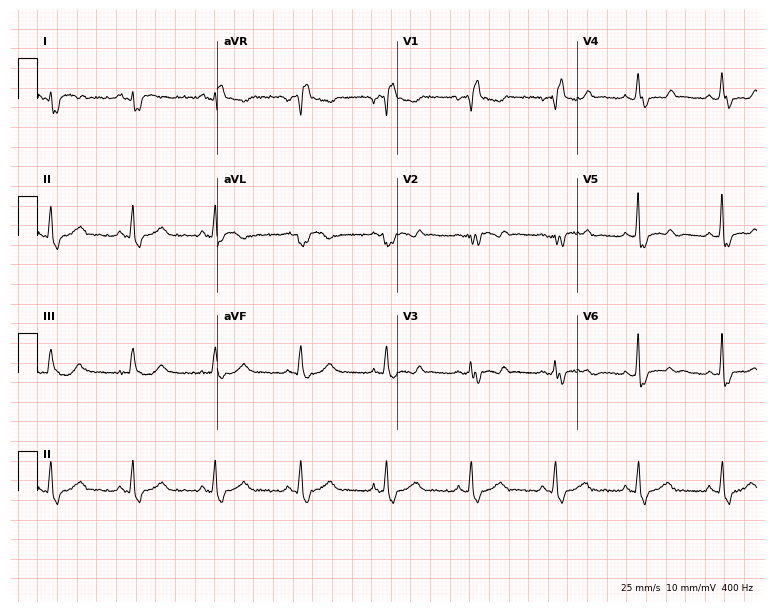
Standard 12-lead ECG recorded from a 44-year-old female patient (7.3-second recording at 400 Hz). The tracing shows right bundle branch block (RBBB).